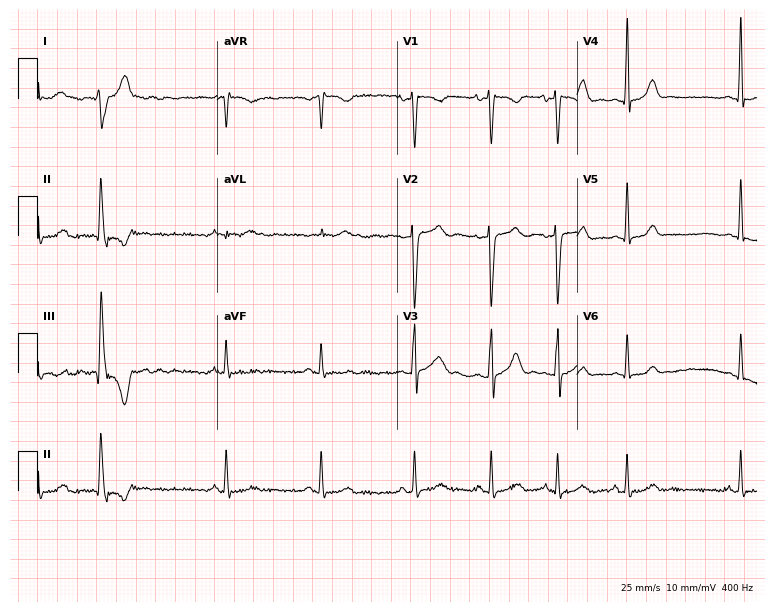
Standard 12-lead ECG recorded from a 30-year-old male. Read as a normal ECG.